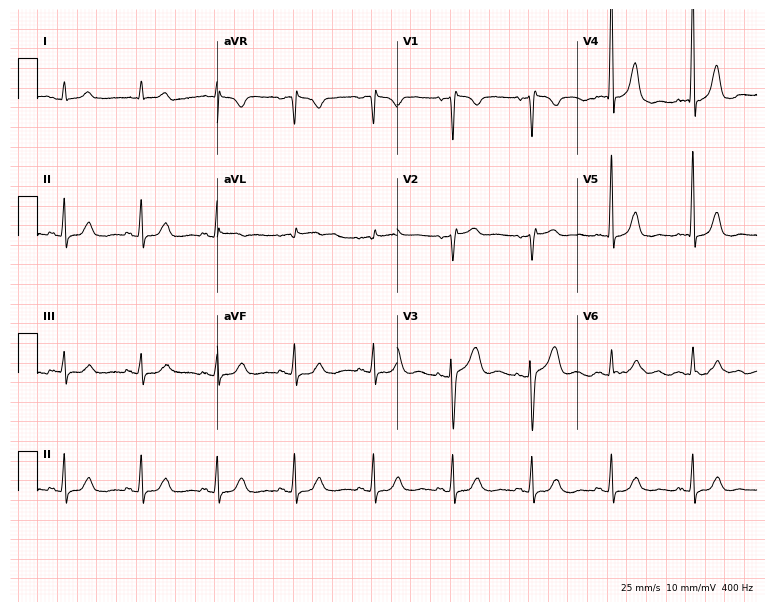
ECG (7.3-second recording at 400 Hz) — a 76-year-old female patient. Screened for six findings — first-degree AV block, right bundle branch block (RBBB), left bundle branch block (LBBB), sinus bradycardia, atrial fibrillation (AF), sinus tachycardia — none is recorded.